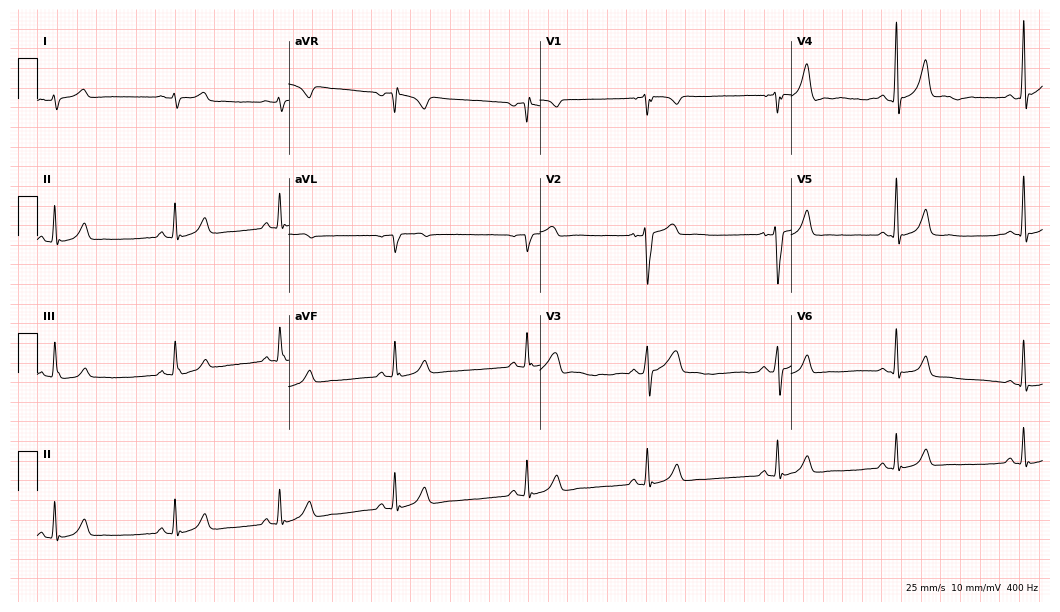
ECG — a 28-year-old man. Screened for six findings — first-degree AV block, right bundle branch block, left bundle branch block, sinus bradycardia, atrial fibrillation, sinus tachycardia — none is recorded.